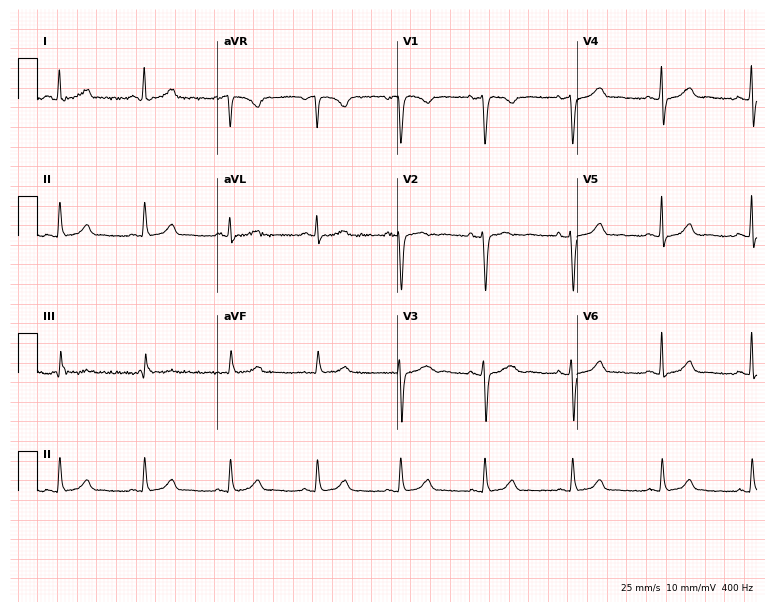
12-lead ECG from a 41-year-old woman. No first-degree AV block, right bundle branch block (RBBB), left bundle branch block (LBBB), sinus bradycardia, atrial fibrillation (AF) or sinus tachycardia recorded for this tracing. Only these six findings were labelled.